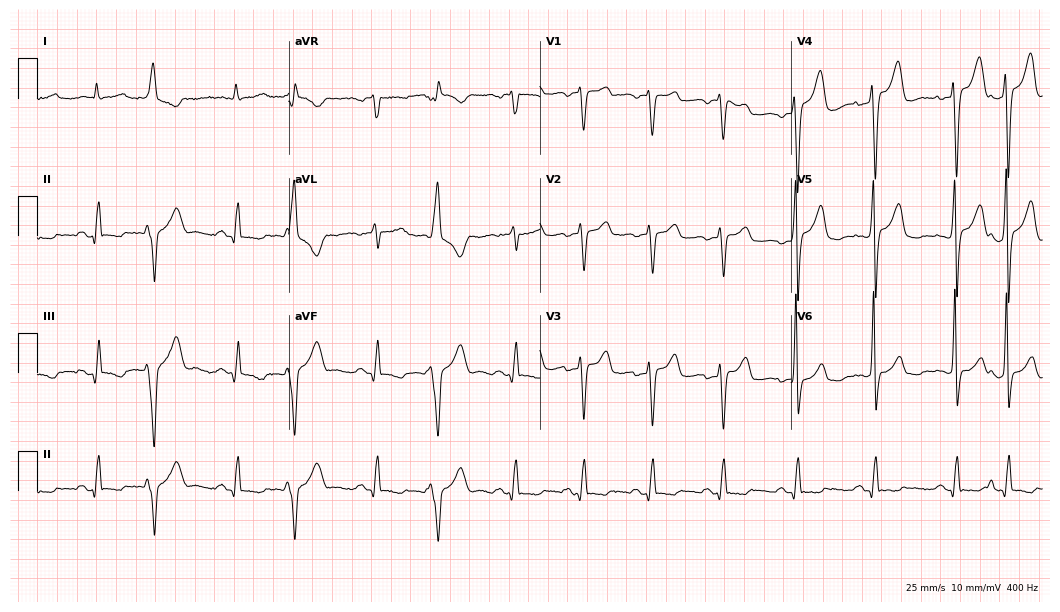
12-lead ECG from a 70-year-old male patient (10.2-second recording at 400 Hz). Recorded interpretation: within normal limits.